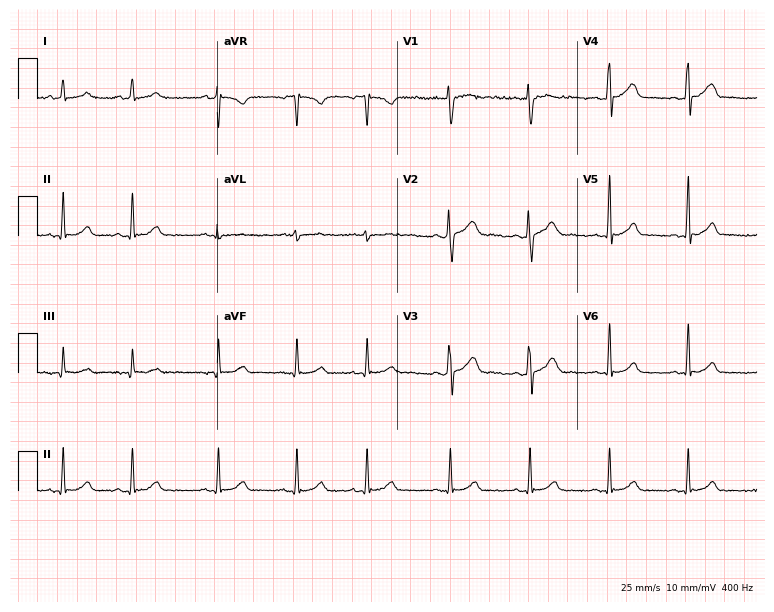
Resting 12-lead electrocardiogram (7.3-second recording at 400 Hz). Patient: a 24-year-old female. None of these six findings is recorded: first-degree AV block, right bundle branch block, left bundle branch block, sinus bradycardia, atrial fibrillation, sinus tachycardia. Other findings, if any, are not listed.